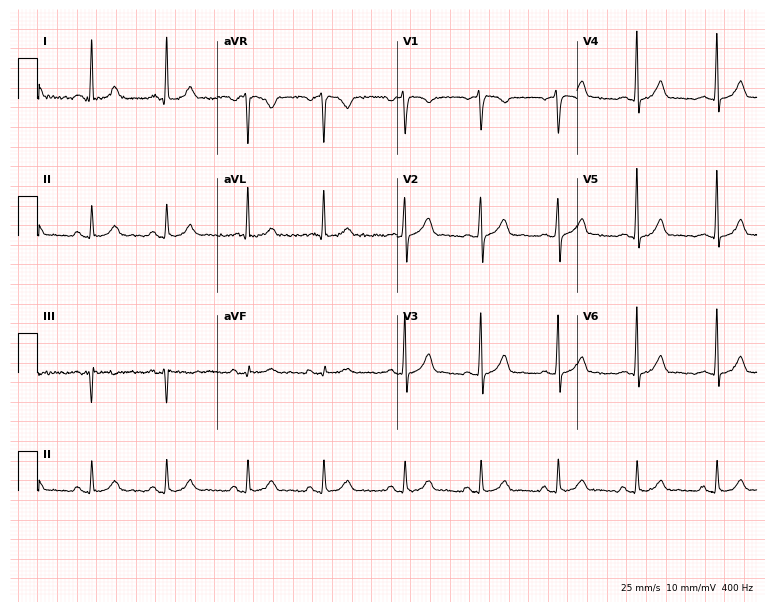
Electrocardiogram, a woman, 35 years old. Of the six screened findings (first-degree AV block, right bundle branch block (RBBB), left bundle branch block (LBBB), sinus bradycardia, atrial fibrillation (AF), sinus tachycardia), none is recorded.